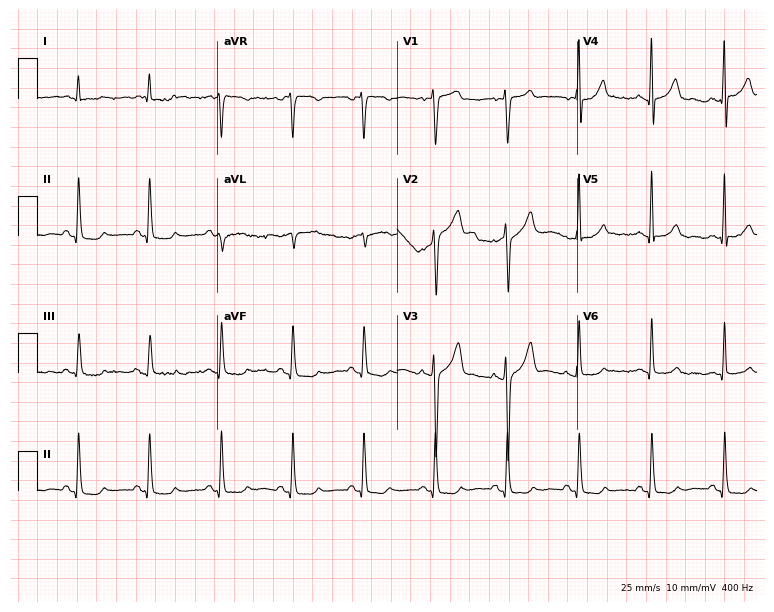
12-lead ECG (7.3-second recording at 400 Hz) from a man, 69 years old. Screened for six findings — first-degree AV block, right bundle branch block (RBBB), left bundle branch block (LBBB), sinus bradycardia, atrial fibrillation (AF), sinus tachycardia — none is recorded.